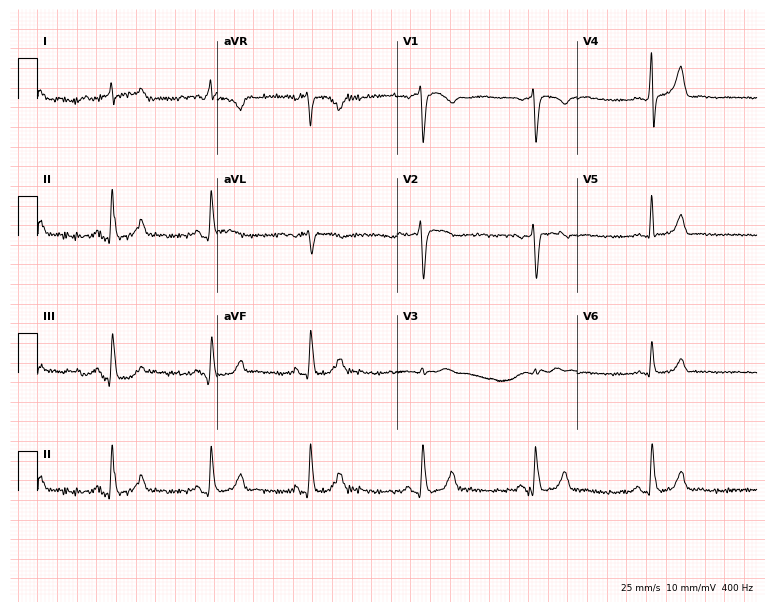
12-lead ECG from a 43-year-old male. No first-degree AV block, right bundle branch block, left bundle branch block, sinus bradycardia, atrial fibrillation or sinus tachycardia recorded for this tracing.